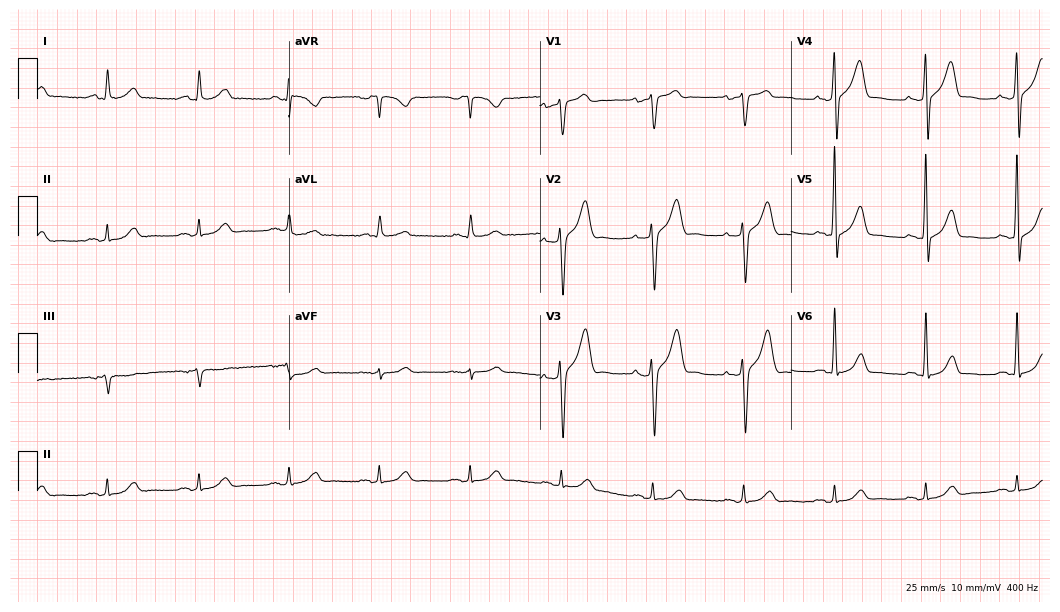
Standard 12-lead ECG recorded from a 67-year-old male (10.2-second recording at 400 Hz). Read as a normal ECG.